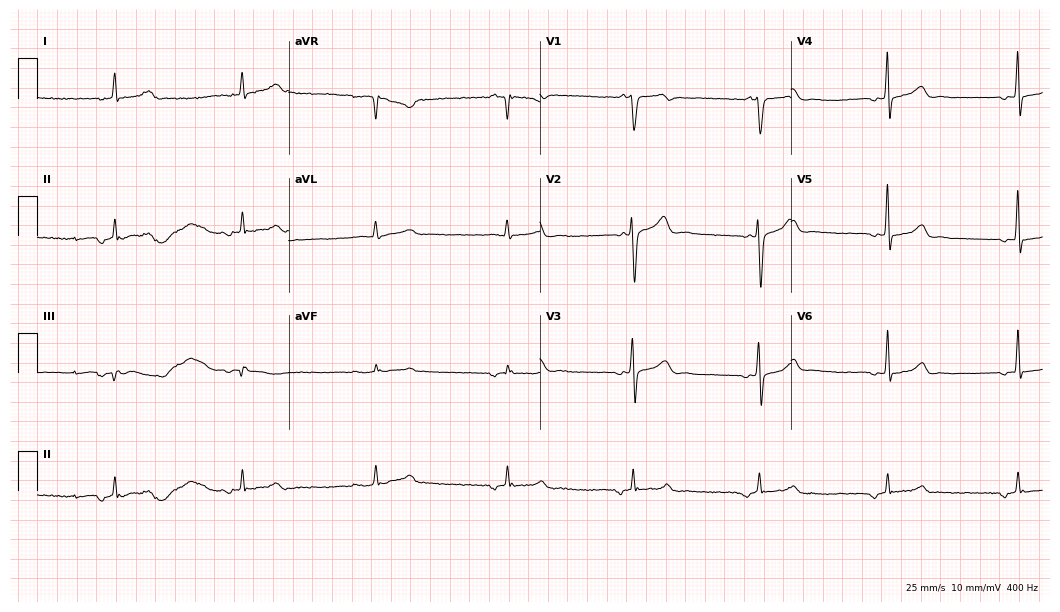
Electrocardiogram (10.2-second recording at 400 Hz), a 52-year-old male patient. Of the six screened findings (first-degree AV block, right bundle branch block (RBBB), left bundle branch block (LBBB), sinus bradycardia, atrial fibrillation (AF), sinus tachycardia), none is recorded. Findings outside these six are not listed.